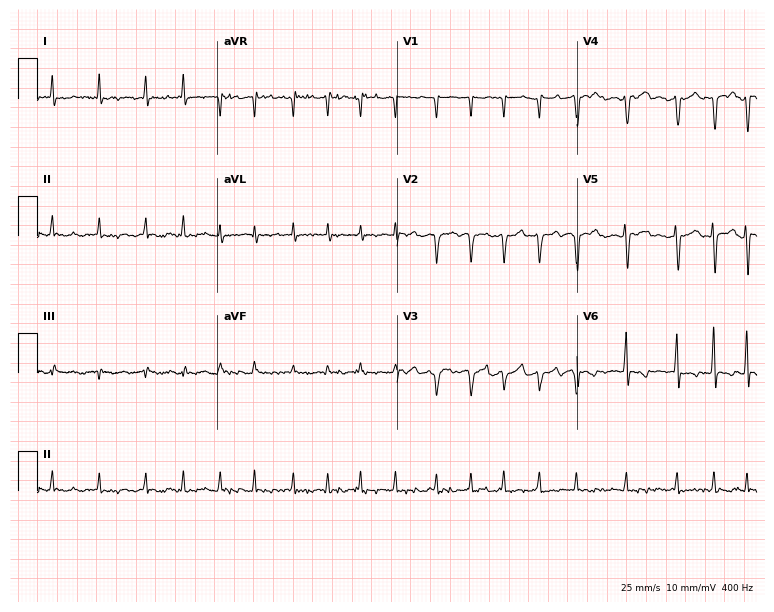
12-lead ECG from a female, 67 years old. Findings include atrial fibrillation.